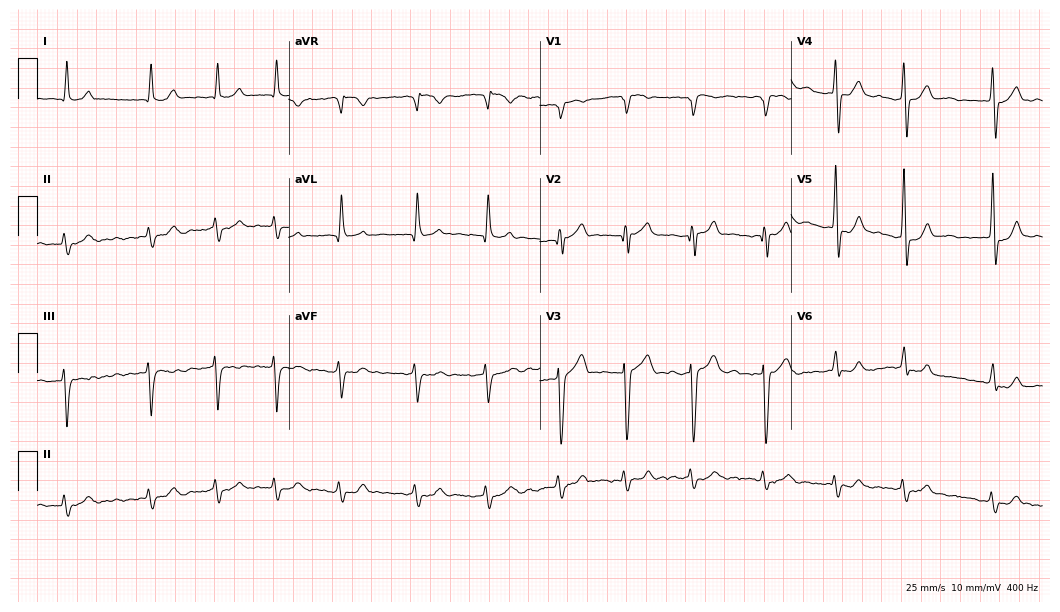
ECG (10.2-second recording at 400 Hz) — a 76-year-old male. Findings include atrial fibrillation.